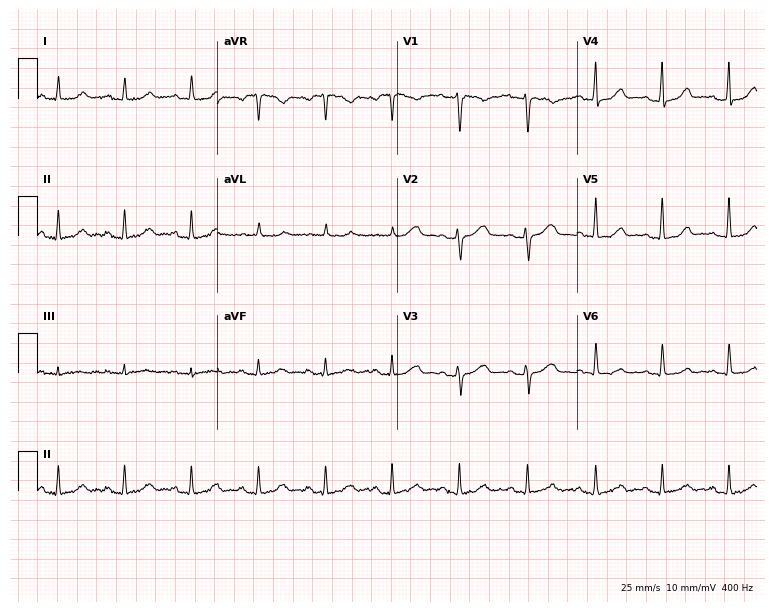
ECG — a female, 39 years old. Screened for six findings — first-degree AV block, right bundle branch block, left bundle branch block, sinus bradycardia, atrial fibrillation, sinus tachycardia — none is recorded.